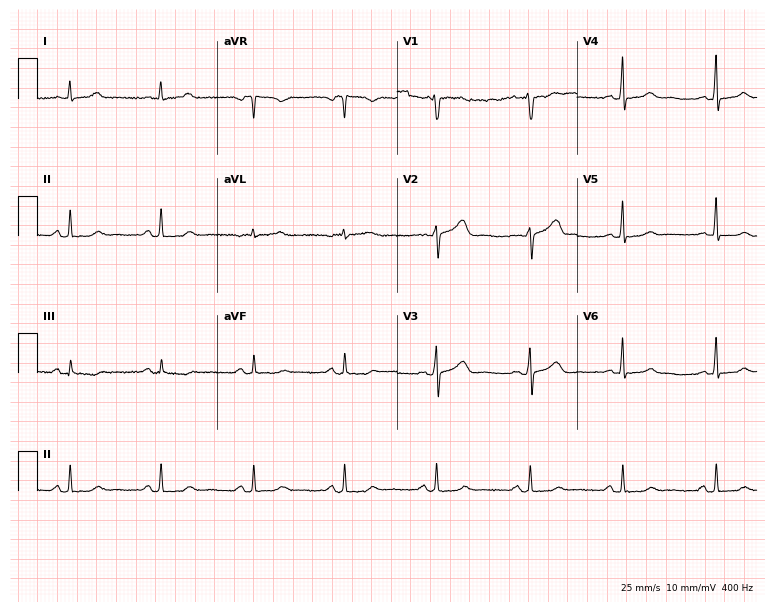
Electrocardiogram, a 60-year-old woman. Overall reading on record: normal ECG.